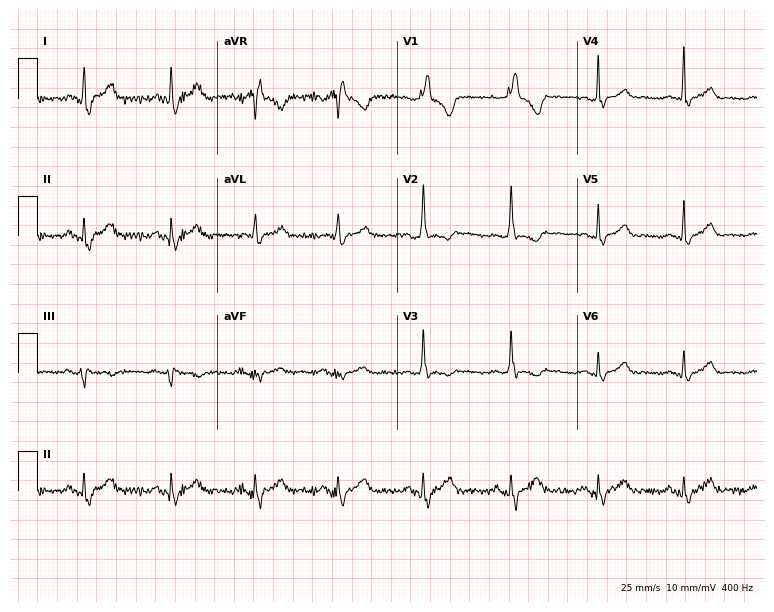
Electrocardiogram (7.3-second recording at 400 Hz), a woman, 52 years old. Interpretation includes right bundle branch block.